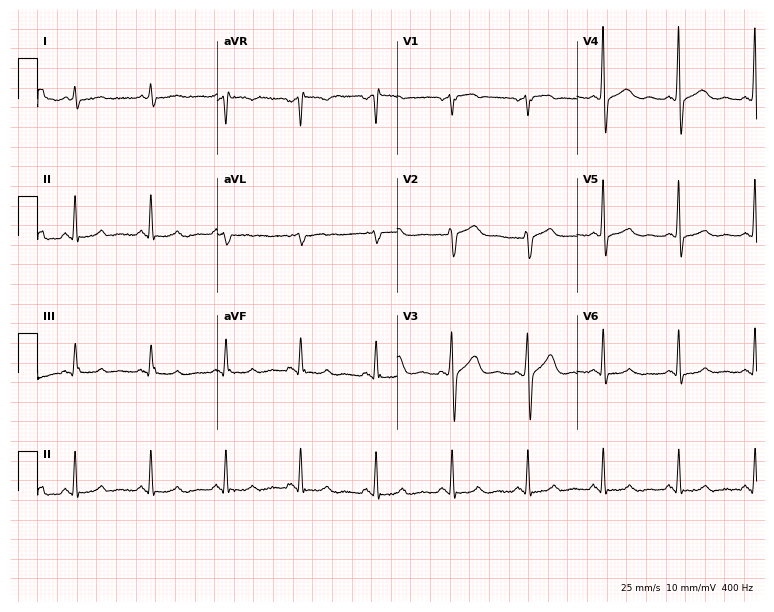
Electrocardiogram (7.3-second recording at 400 Hz), a 57-year-old male. Of the six screened findings (first-degree AV block, right bundle branch block, left bundle branch block, sinus bradycardia, atrial fibrillation, sinus tachycardia), none is recorded. Findings outside these six are not listed.